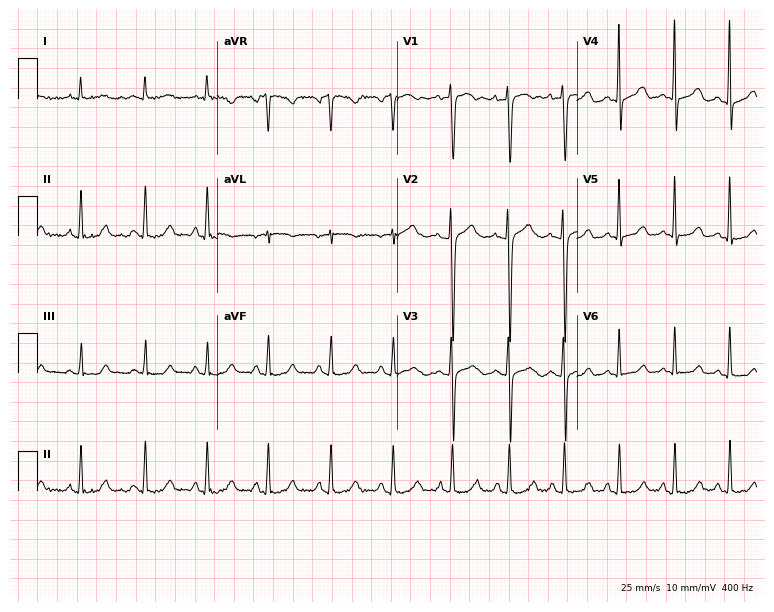
Resting 12-lead electrocardiogram. Patient: a female, 37 years old. None of these six findings is recorded: first-degree AV block, right bundle branch block (RBBB), left bundle branch block (LBBB), sinus bradycardia, atrial fibrillation (AF), sinus tachycardia. Only these six findings were labelled.